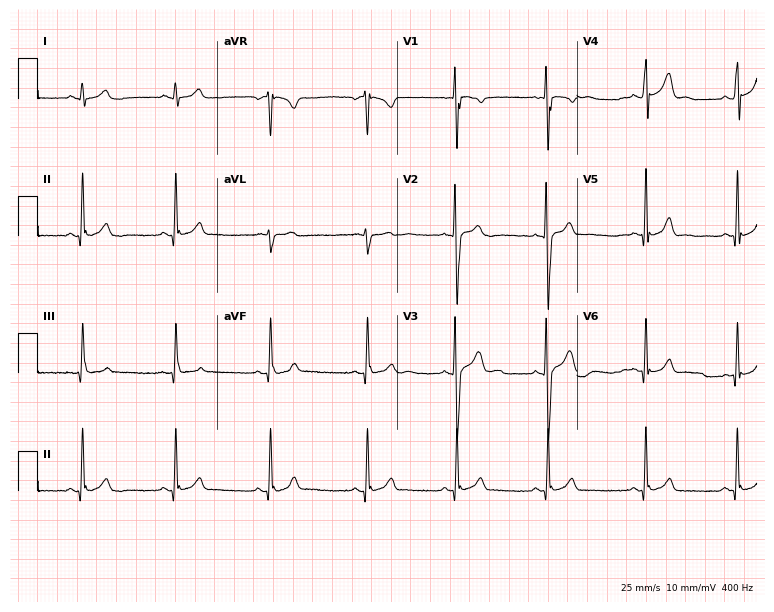
ECG (7.3-second recording at 400 Hz) — a male, 19 years old. Labelled as a normal ECG.